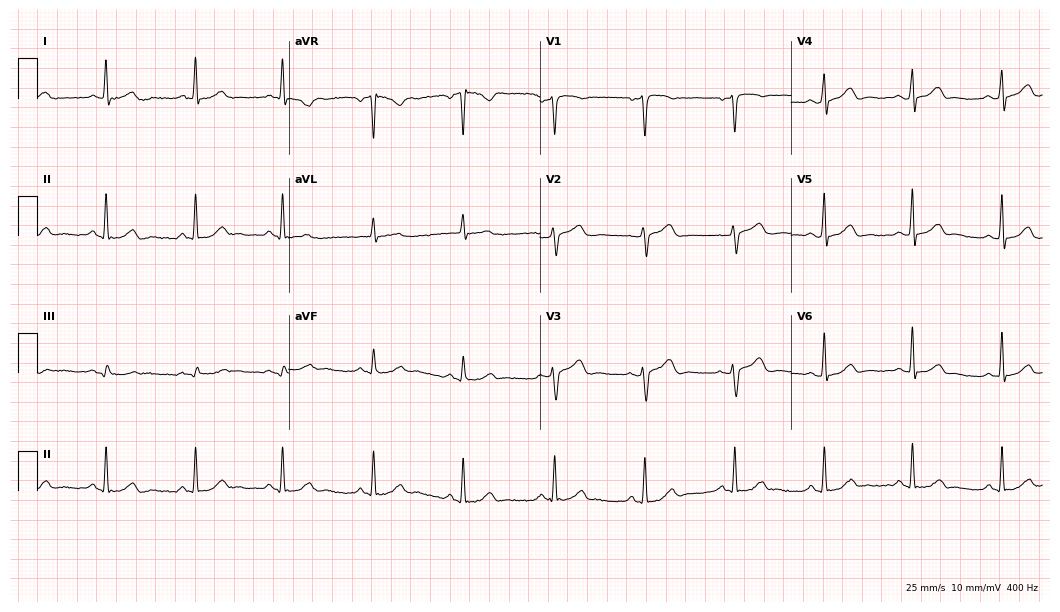
Resting 12-lead electrocardiogram. Patient: a male, 46 years old. Read as a normal ECG.